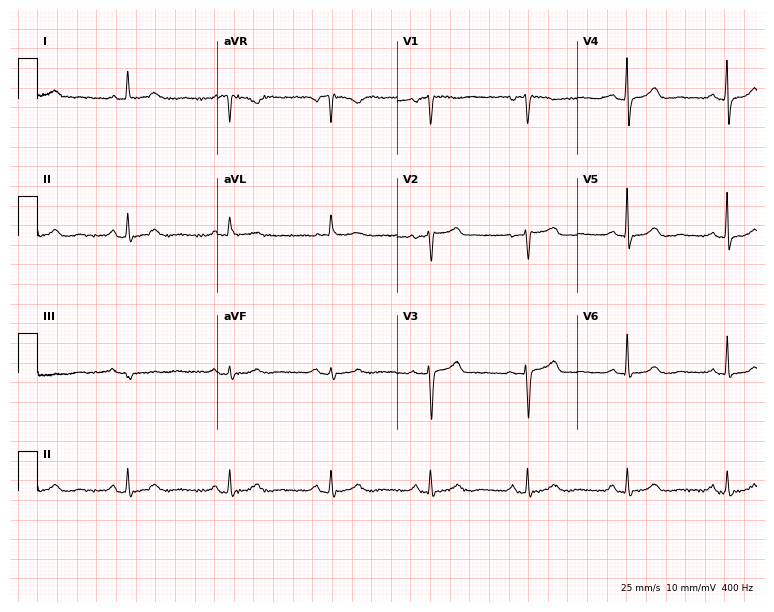
12-lead ECG from a 72-year-old female patient (7.3-second recording at 400 Hz). Recorded interpretation: within normal limits.